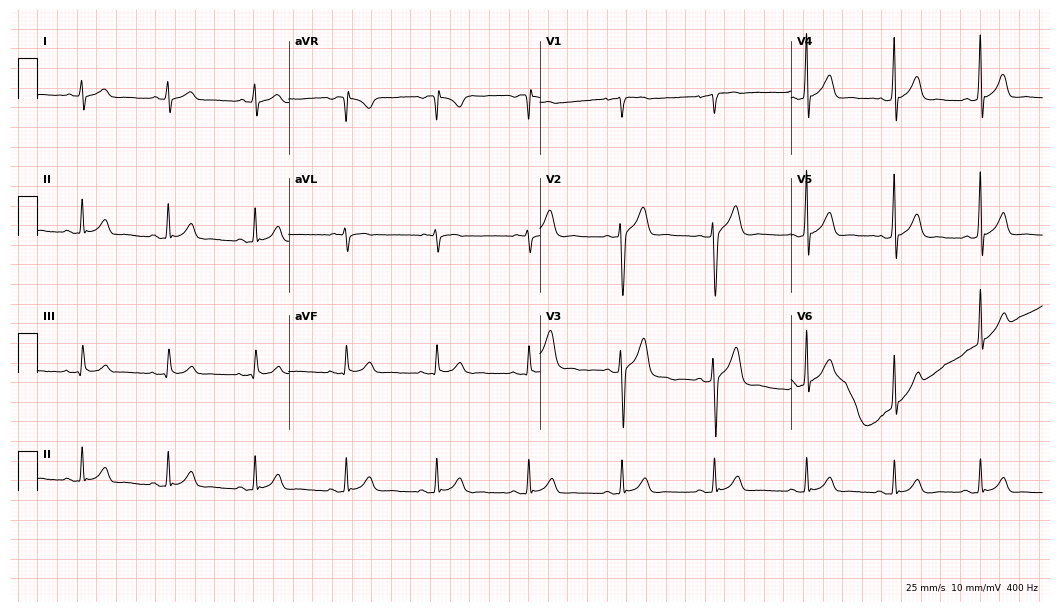
Electrocardiogram, a male, 28 years old. Of the six screened findings (first-degree AV block, right bundle branch block, left bundle branch block, sinus bradycardia, atrial fibrillation, sinus tachycardia), none is recorded.